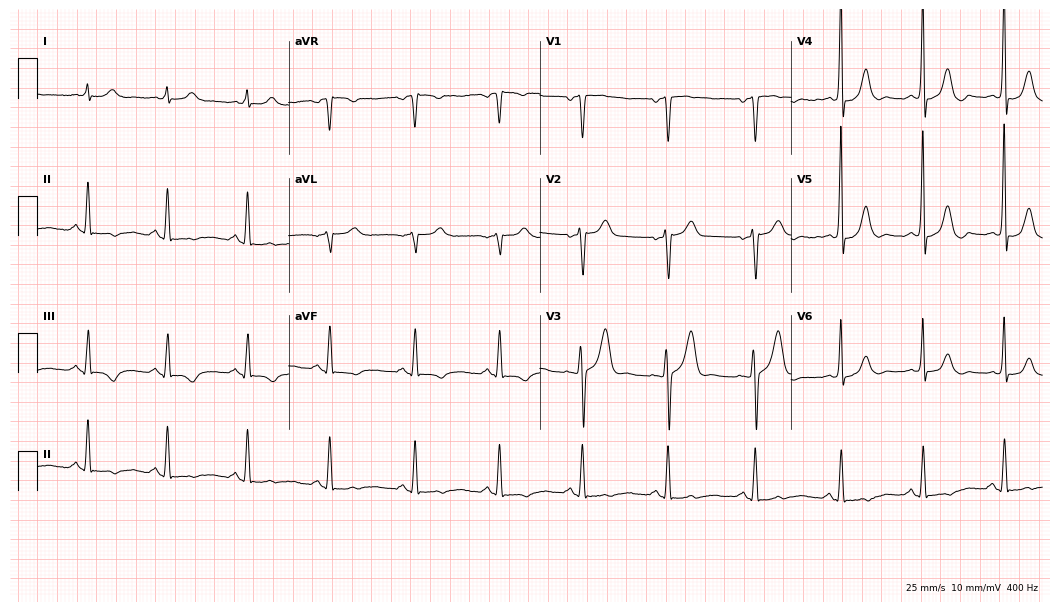
Standard 12-lead ECG recorded from a 63-year-old male patient (10.2-second recording at 400 Hz). None of these six findings is recorded: first-degree AV block, right bundle branch block, left bundle branch block, sinus bradycardia, atrial fibrillation, sinus tachycardia.